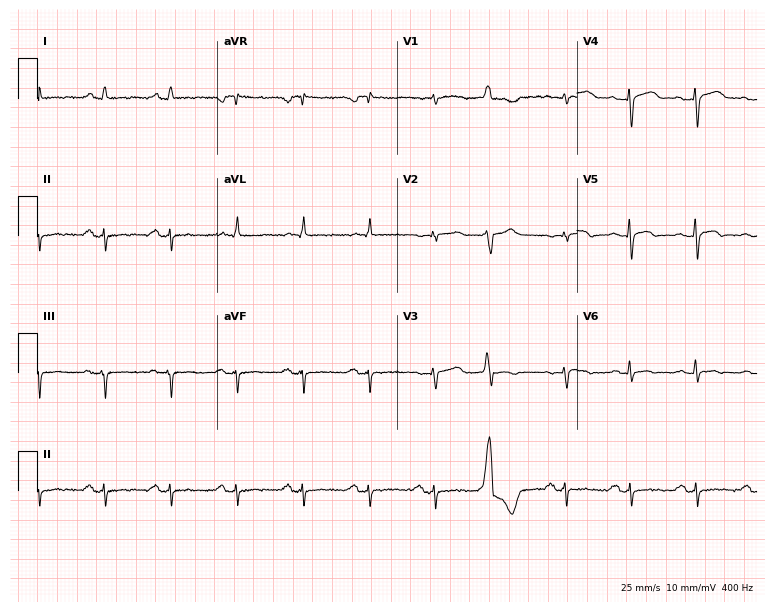
ECG — a 54-year-old female patient. Screened for six findings — first-degree AV block, right bundle branch block, left bundle branch block, sinus bradycardia, atrial fibrillation, sinus tachycardia — none is recorded.